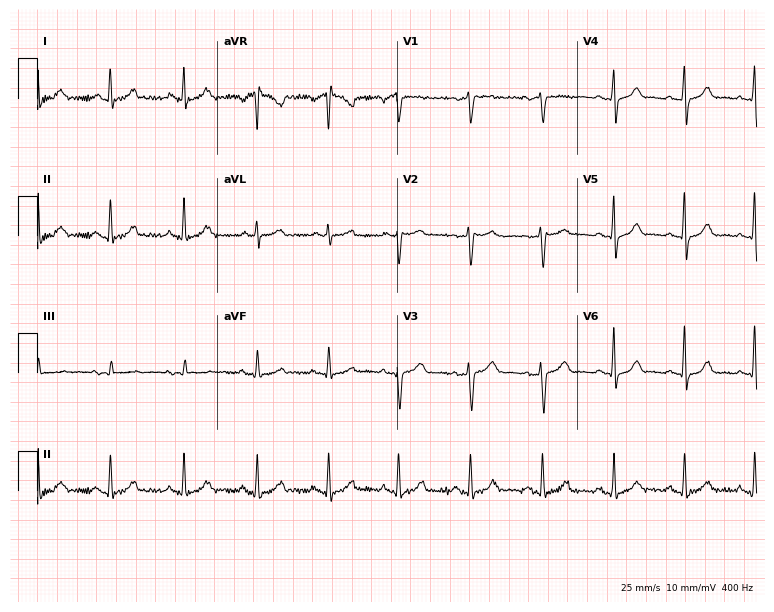
ECG (7.3-second recording at 400 Hz) — a woman, 44 years old. Labelled as a normal ECG.